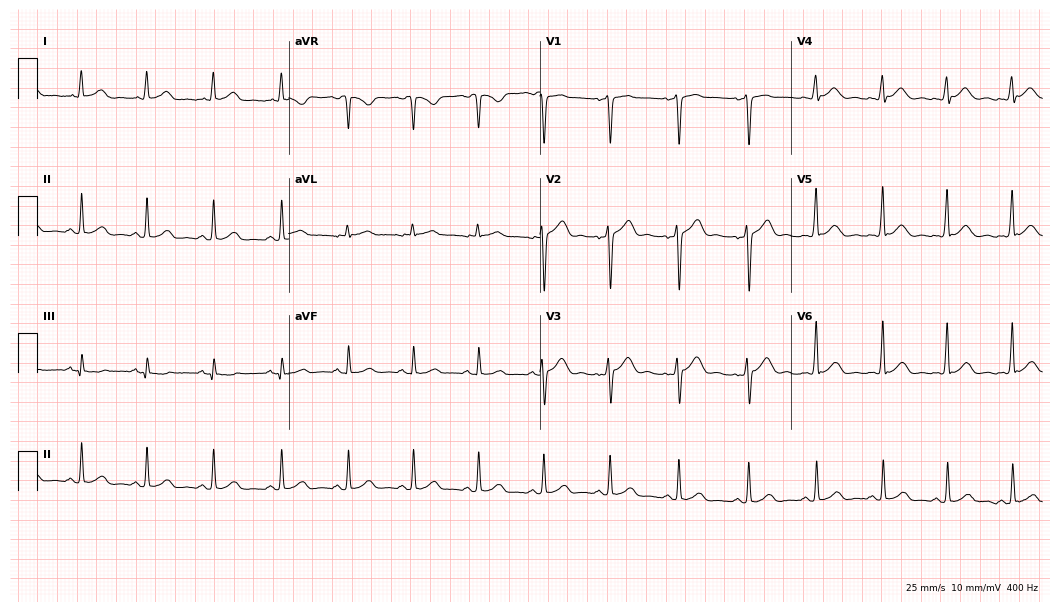
ECG (10.2-second recording at 400 Hz) — a 33-year-old male. Labelled as a normal ECG.